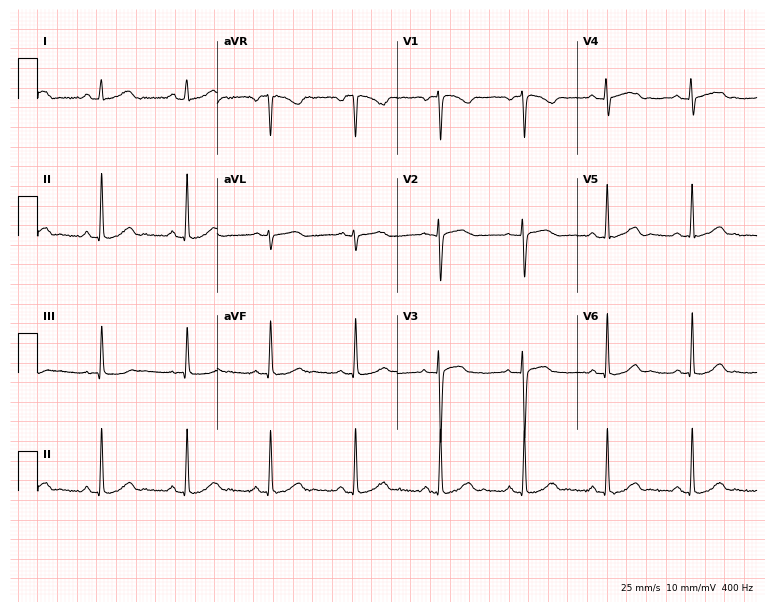
ECG (7.3-second recording at 400 Hz) — a female patient, 39 years old. Labelled as a normal ECG.